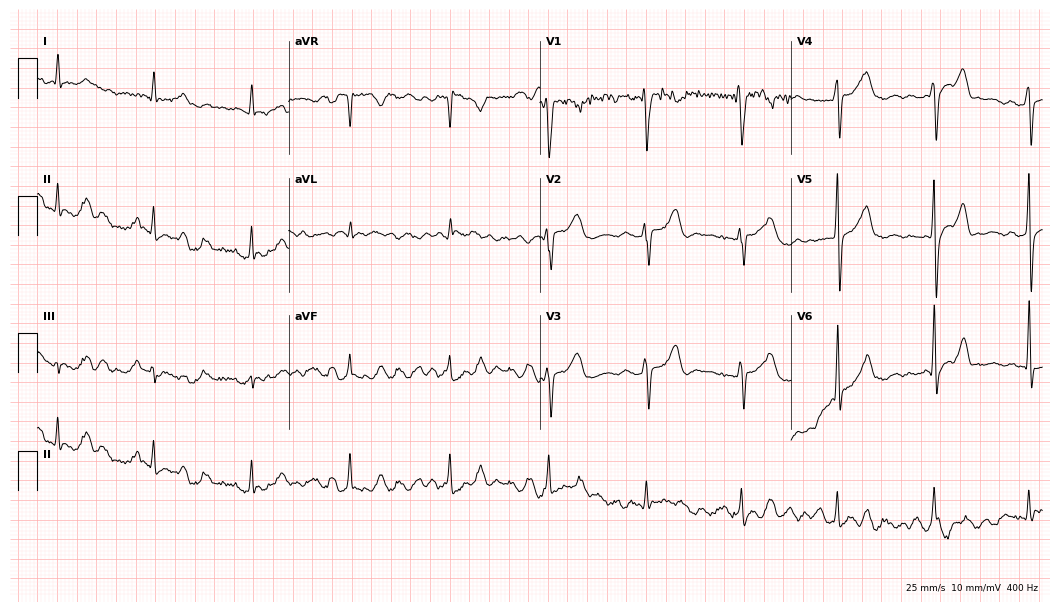
Standard 12-lead ECG recorded from a 45-year-old male. None of these six findings is recorded: first-degree AV block, right bundle branch block (RBBB), left bundle branch block (LBBB), sinus bradycardia, atrial fibrillation (AF), sinus tachycardia. Other findings, if any, are not listed.